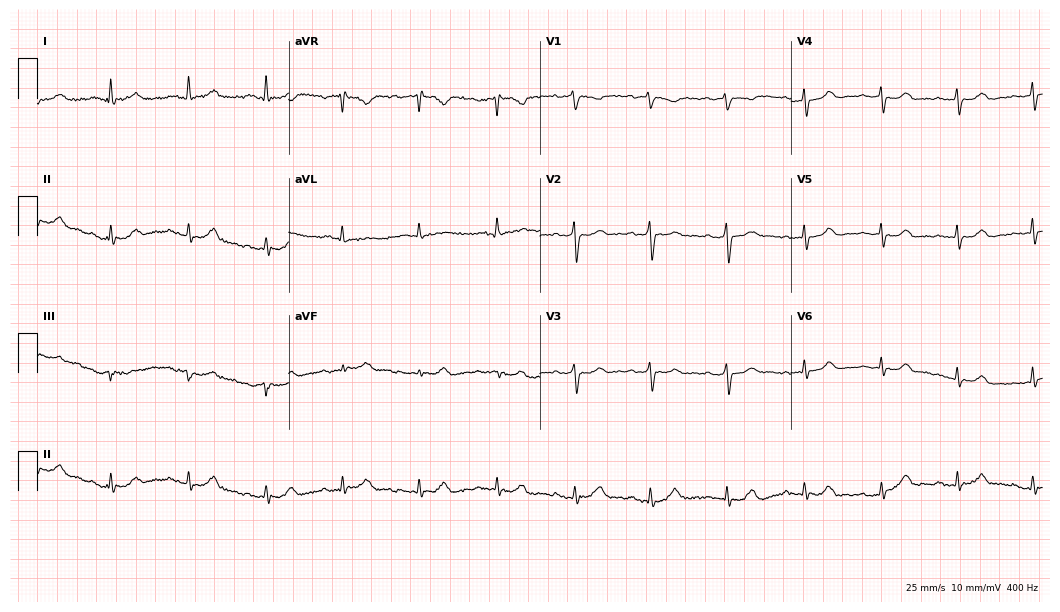
Resting 12-lead electrocardiogram (10.2-second recording at 400 Hz). Patient: a 61-year-old female. Read as a normal ECG.